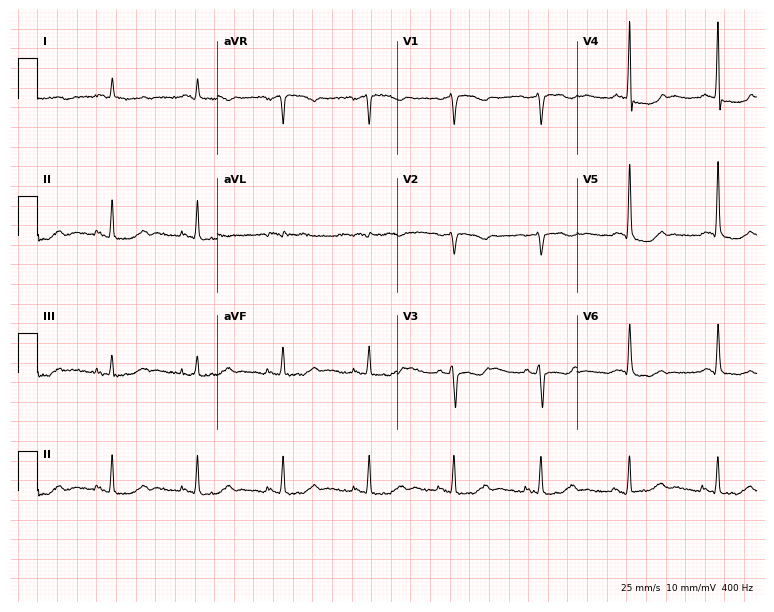
ECG (7.3-second recording at 400 Hz) — a 60-year-old male. Screened for six findings — first-degree AV block, right bundle branch block, left bundle branch block, sinus bradycardia, atrial fibrillation, sinus tachycardia — none is recorded. Findings outside these six are not listed.